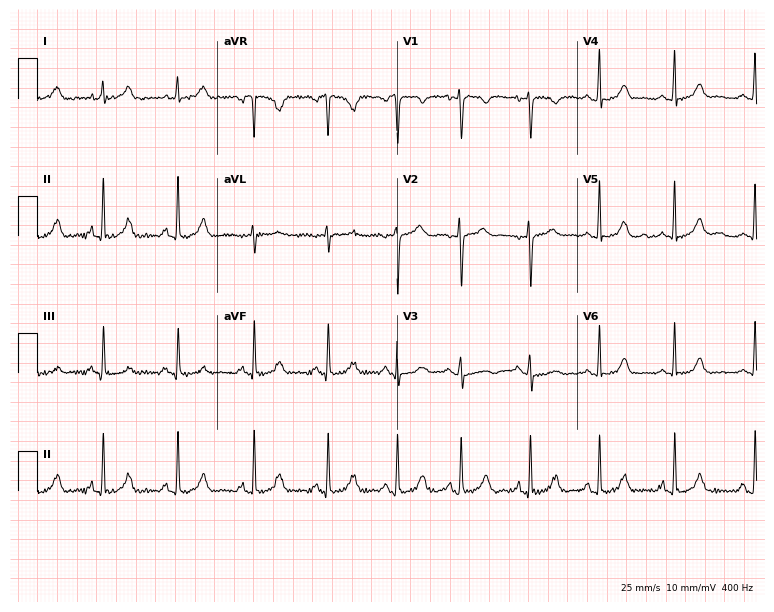
ECG — a 26-year-old female patient. Screened for six findings — first-degree AV block, right bundle branch block, left bundle branch block, sinus bradycardia, atrial fibrillation, sinus tachycardia — none is recorded.